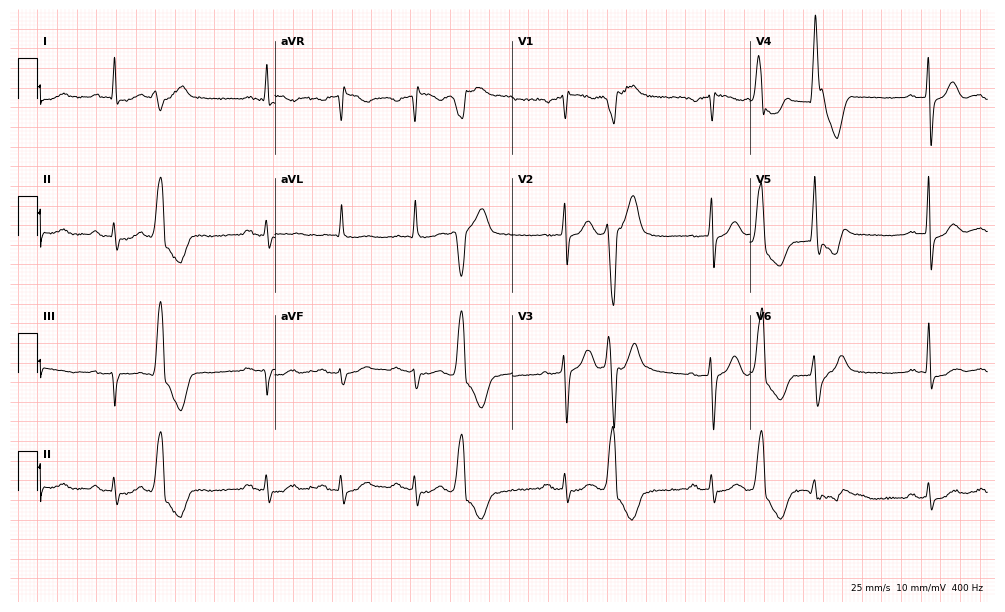
12-lead ECG from a male patient, 83 years old. Screened for six findings — first-degree AV block, right bundle branch block (RBBB), left bundle branch block (LBBB), sinus bradycardia, atrial fibrillation (AF), sinus tachycardia — none is recorded.